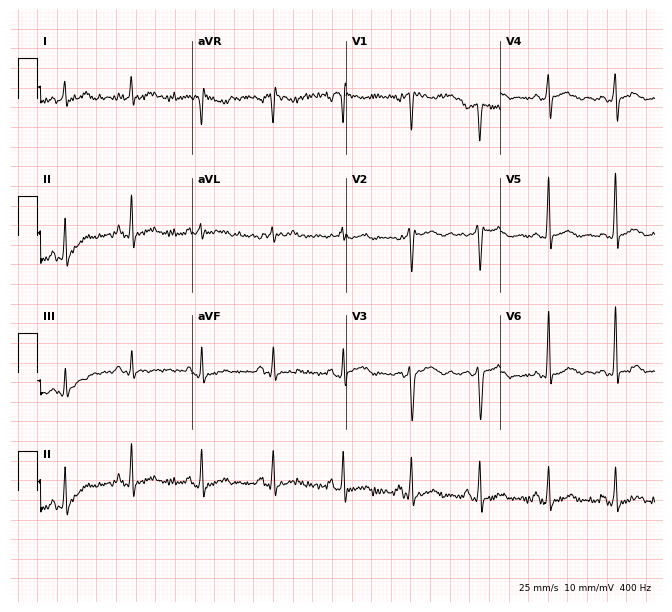
Electrocardiogram, a female patient, 35 years old. Of the six screened findings (first-degree AV block, right bundle branch block, left bundle branch block, sinus bradycardia, atrial fibrillation, sinus tachycardia), none is recorded. Other findings, if any, are not listed.